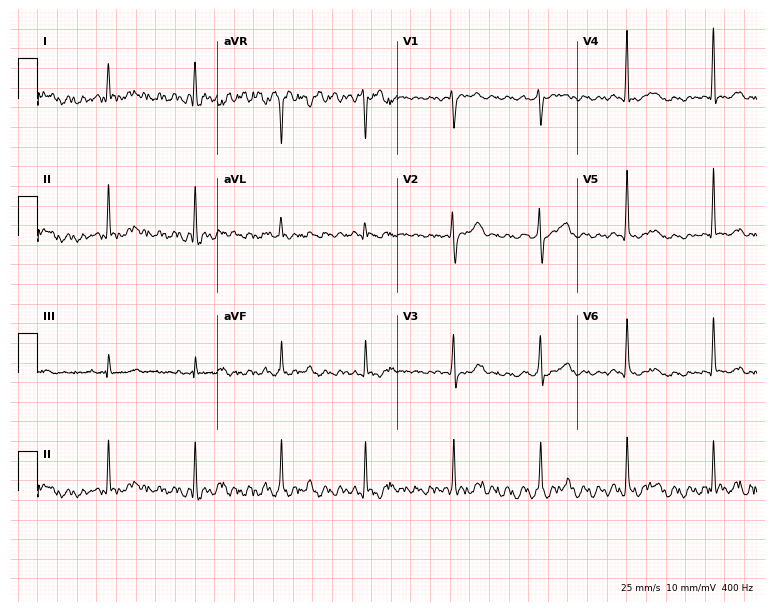
Standard 12-lead ECG recorded from a 73-year-old female patient (7.3-second recording at 400 Hz). None of these six findings is recorded: first-degree AV block, right bundle branch block, left bundle branch block, sinus bradycardia, atrial fibrillation, sinus tachycardia. Other findings, if any, are not listed.